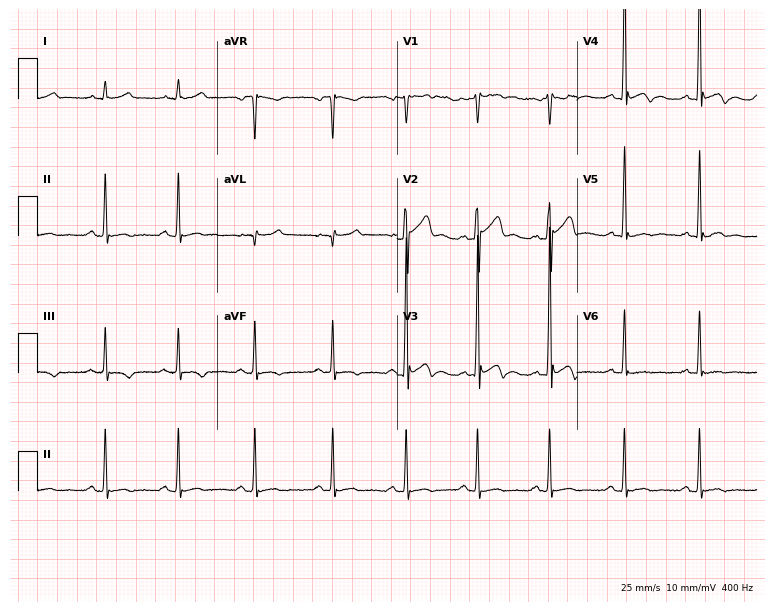
12-lead ECG from a 20-year-old male patient. Screened for six findings — first-degree AV block, right bundle branch block, left bundle branch block, sinus bradycardia, atrial fibrillation, sinus tachycardia — none is recorded. Only these six findings were labelled.